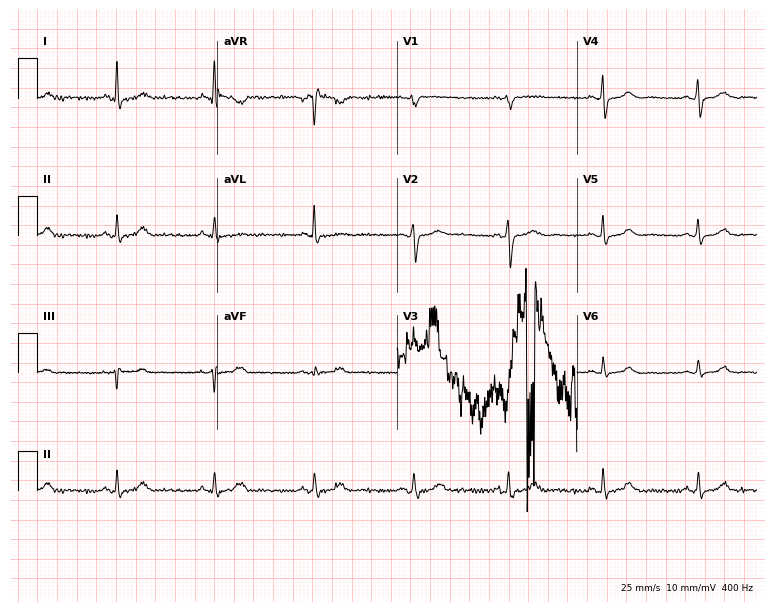
Standard 12-lead ECG recorded from a female patient, 40 years old. None of these six findings is recorded: first-degree AV block, right bundle branch block, left bundle branch block, sinus bradycardia, atrial fibrillation, sinus tachycardia.